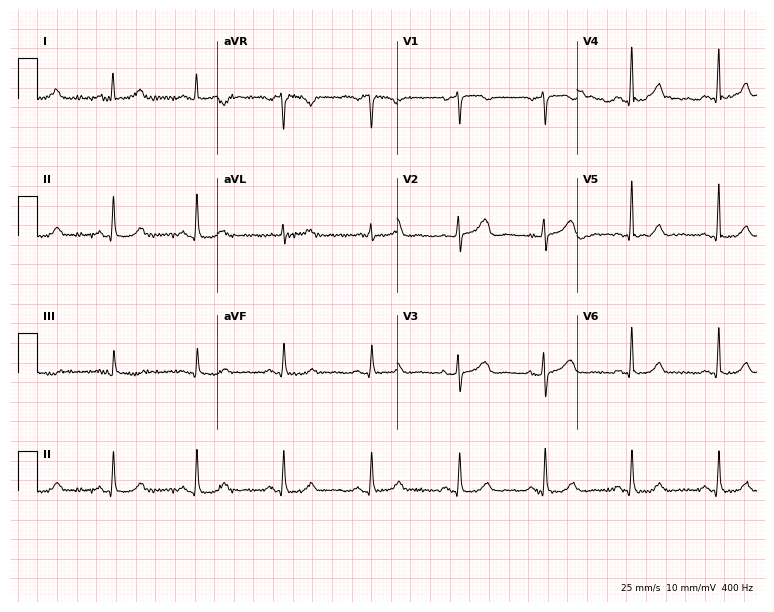
12-lead ECG from a female, 55 years old. Labelled as a normal ECG.